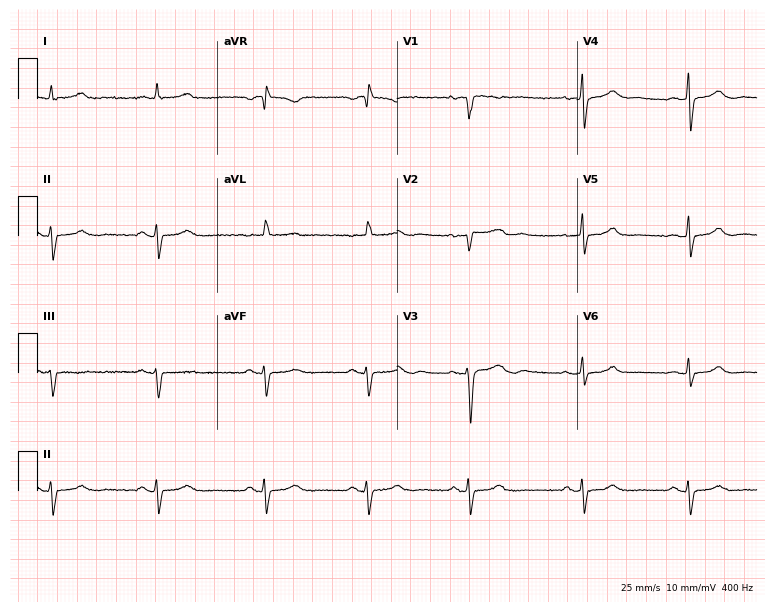
Resting 12-lead electrocardiogram. Patient: a 39-year-old female. None of these six findings is recorded: first-degree AV block, right bundle branch block, left bundle branch block, sinus bradycardia, atrial fibrillation, sinus tachycardia. Only these six findings were labelled.